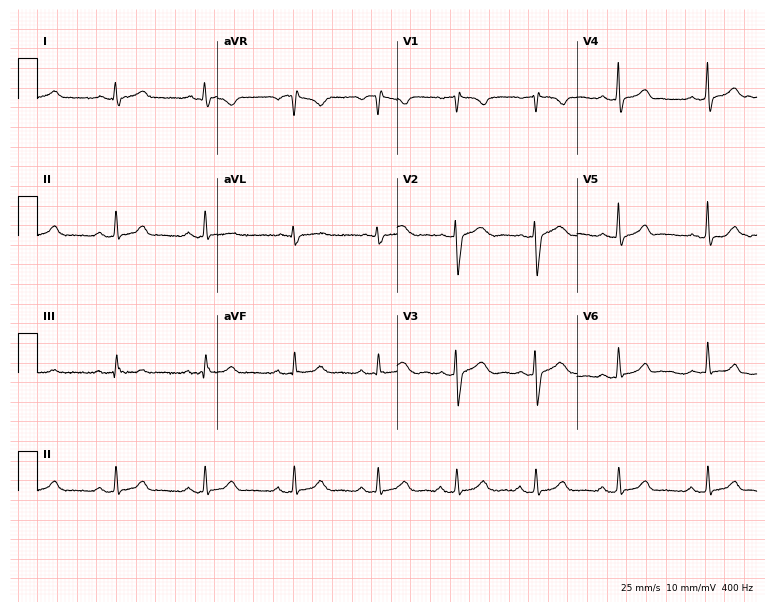
12-lead ECG from a female, 20 years old. Screened for six findings — first-degree AV block, right bundle branch block (RBBB), left bundle branch block (LBBB), sinus bradycardia, atrial fibrillation (AF), sinus tachycardia — none is recorded.